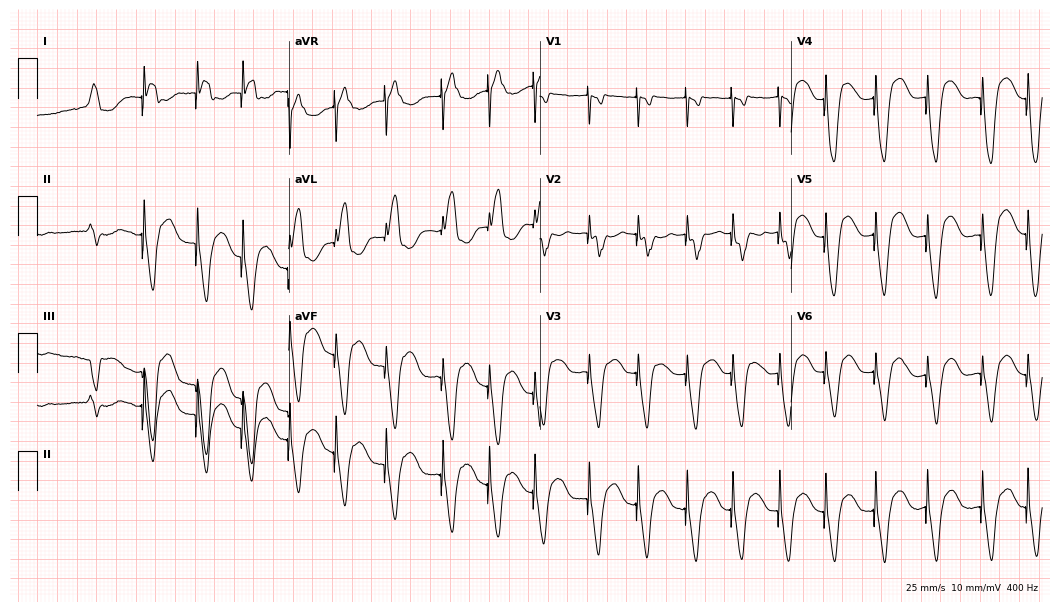
12-lead ECG (10.2-second recording at 400 Hz) from a woman, 74 years old. Screened for six findings — first-degree AV block, right bundle branch block (RBBB), left bundle branch block (LBBB), sinus bradycardia, atrial fibrillation (AF), sinus tachycardia — none is recorded.